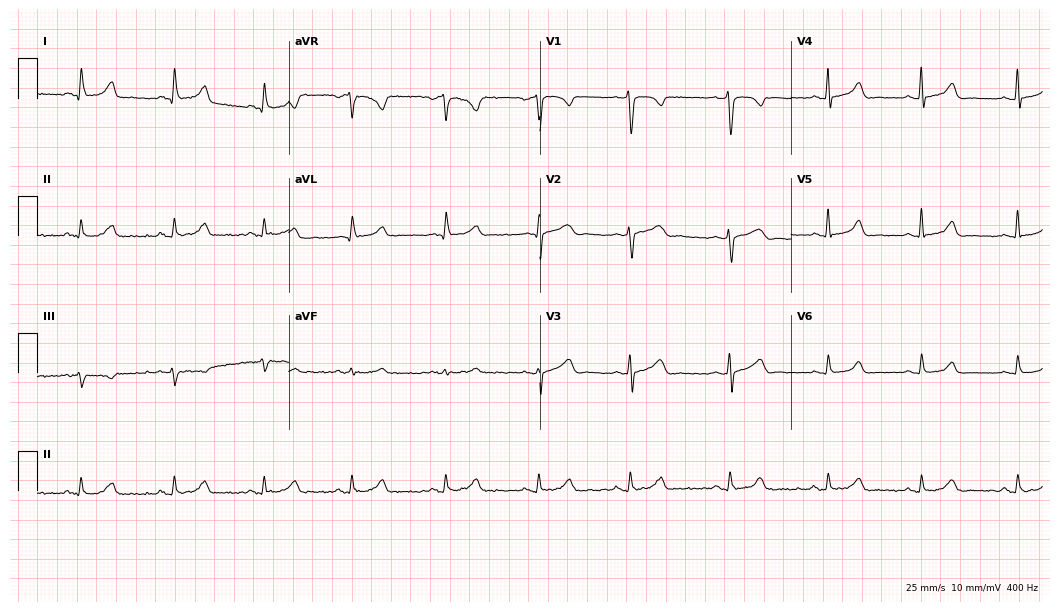
12-lead ECG from a 35-year-old woman. Labelled as a normal ECG.